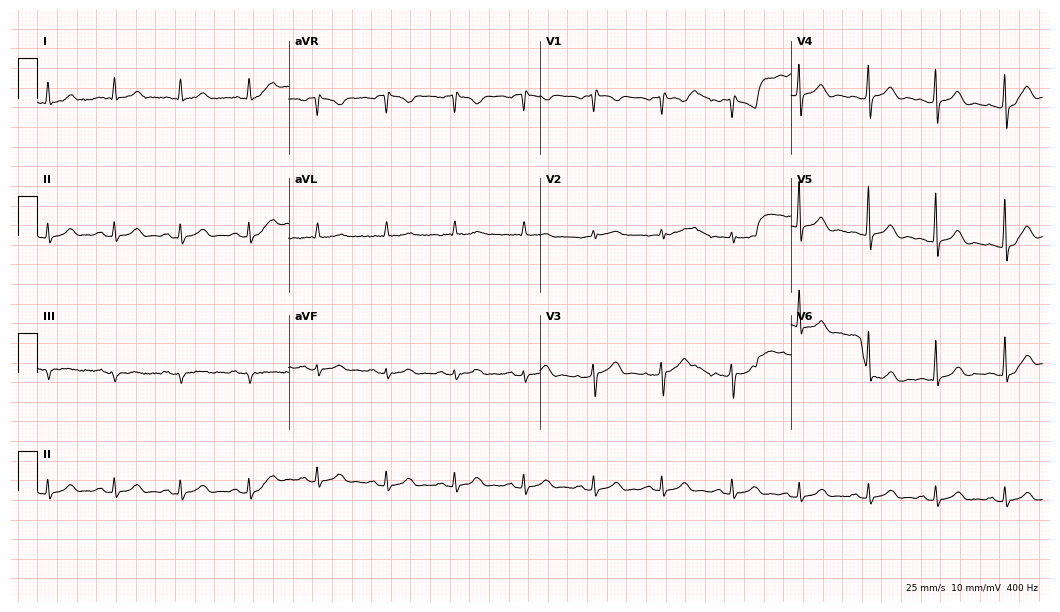
Electrocardiogram (10.2-second recording at 400 Hz), a 69-year-old male. Of the six screened findings (first-degree AV block, right bundle branch block, left bundle branch block, sinus bradycardia, atrial fibrillation, sinus tachycardia), none is recorded. Only these six findings were labelled.